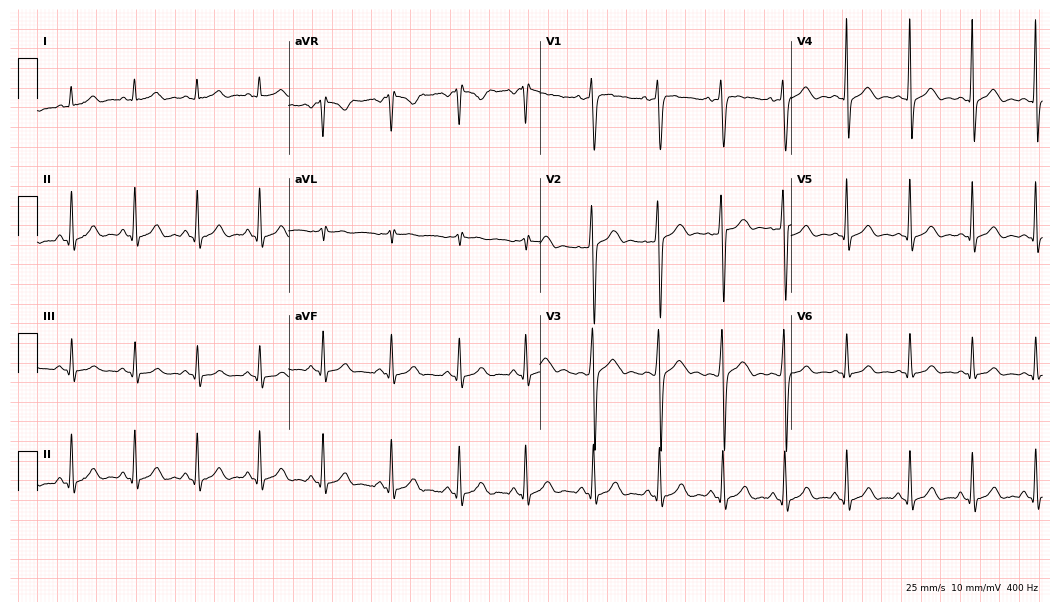
Standard 12-lead ECG recorded from a 19-year-old man (10.2-second recording at 400 Hz). Read as a normal ECG.